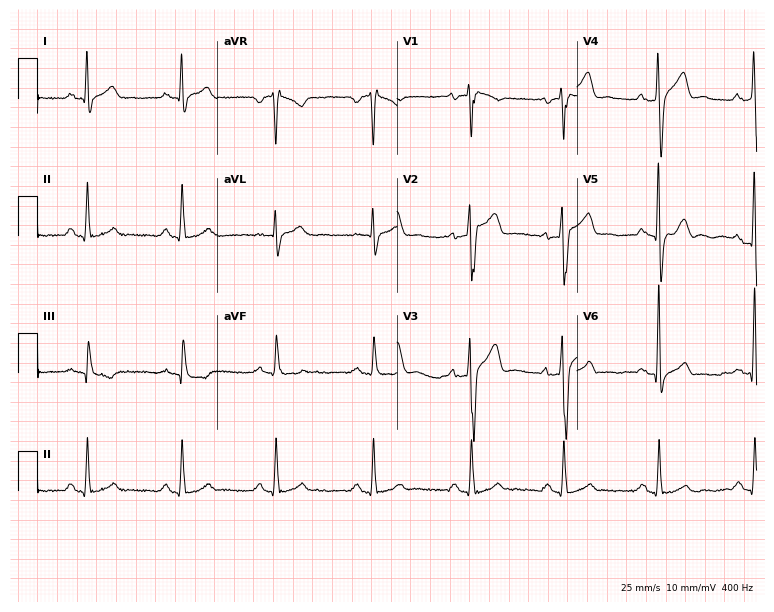
12-lead ECG (7.3-second recording at 400 Hz) from a man, 47 years old. Screened for six findings — first-degree AV block, right bundle branch block, left bundle branch block, sinus bradycardia, atrial fibrillation, sinus tachycardia — none is recorded.